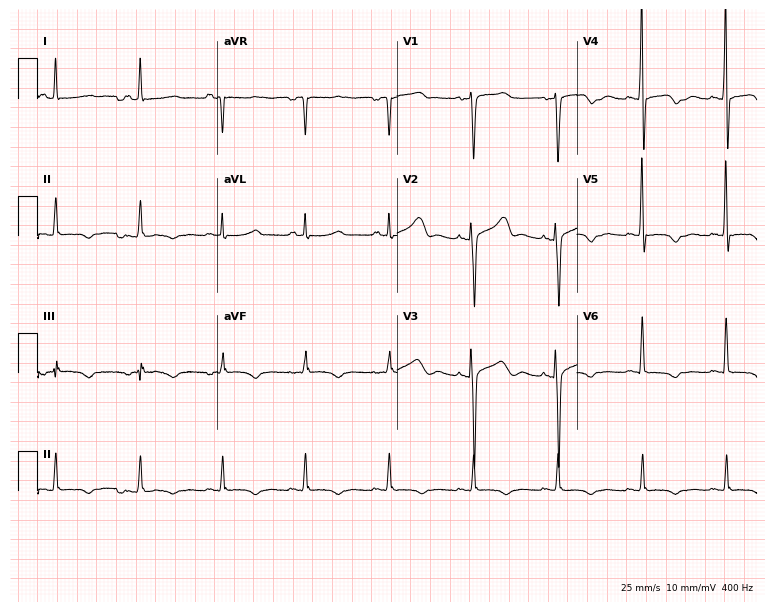
12-lead ECG (7.3-second recording at 400 Hz) from a female patient, 40 years old. Screened for six findings — first-degree AV block, right bundle branch block, left bundle branch block, sinus bradycardia, atrial fibrillation, sinus tachycardia — none is recorded. Other findings, if any, are not listed.